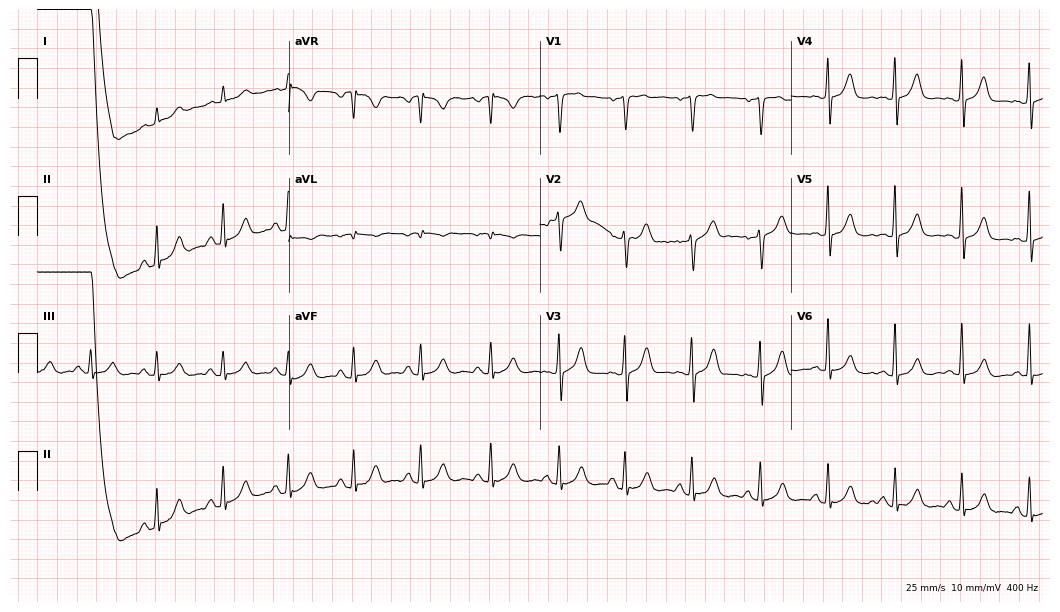
12-lead ECG from a male patient, 65 years old. No first-degree AV block, right bundle branch block (RBBB), left bundle branch block (LBBB), sinus bradycardia, atrial fibrillation (AF) or sinus tachycardia recorded for this tracing.